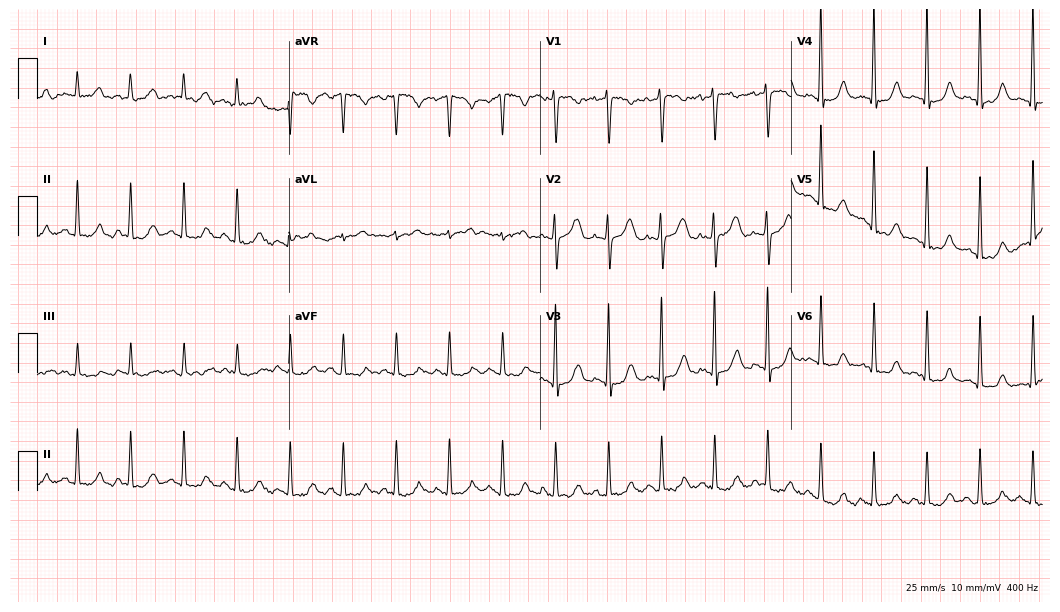
Standard 12-lead ECG recorded from a 43-year-old female (10.2-second recording at 400 Hz). The tracing shows sinus tachycardia (a sinus rate of 100 beats per minute or more).